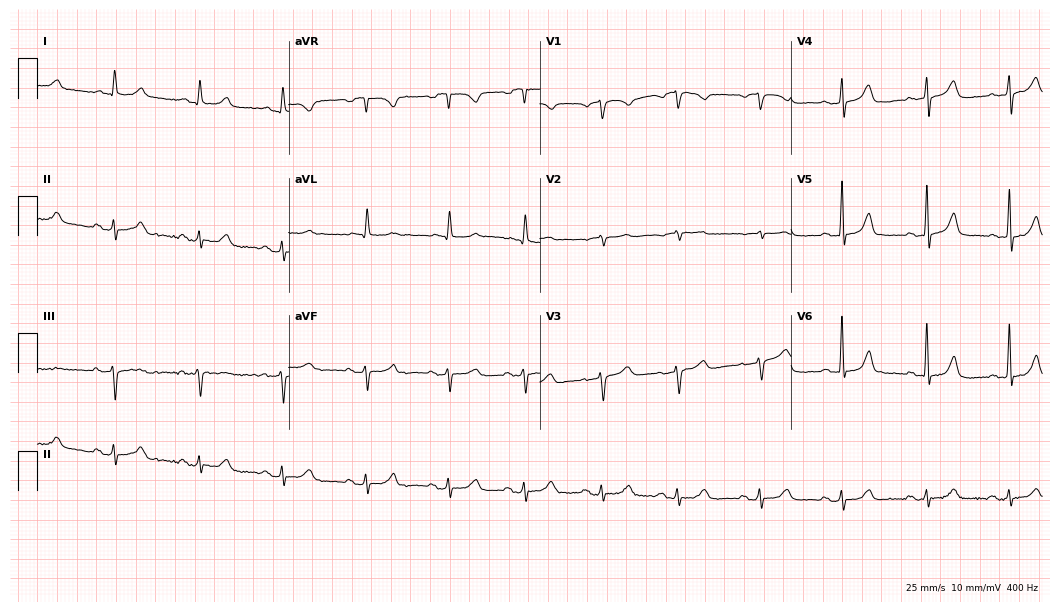
Standard 12-lead ECG recorded from a 74-year-old male patient (10.2-second recording at 400 Hz). Read as a normal ECG.